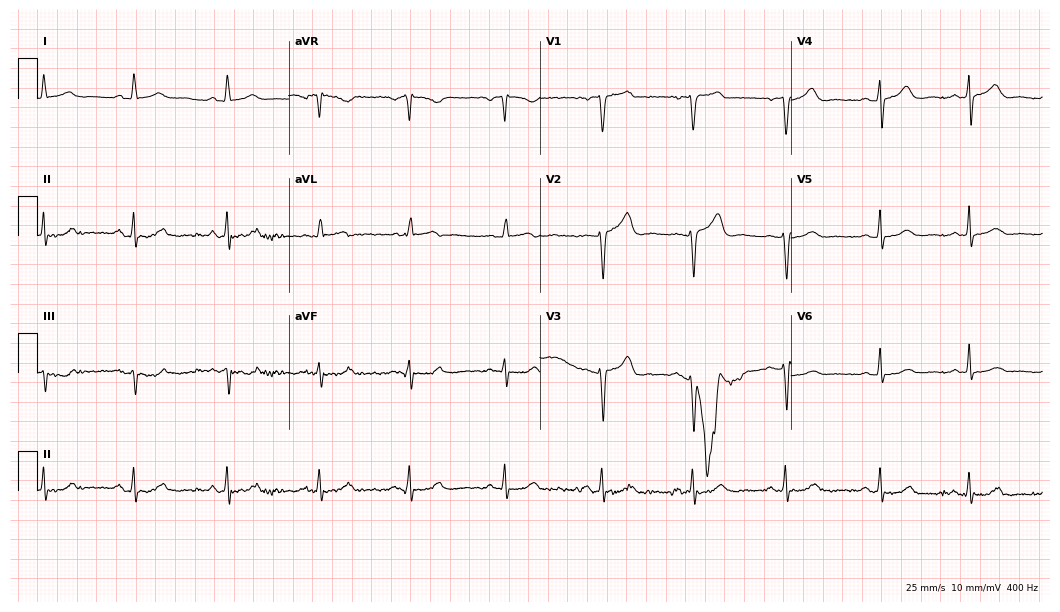
Resting 12-lead electrocardiogram. Patient: a 57-year-old female. Read as a normal ECG.